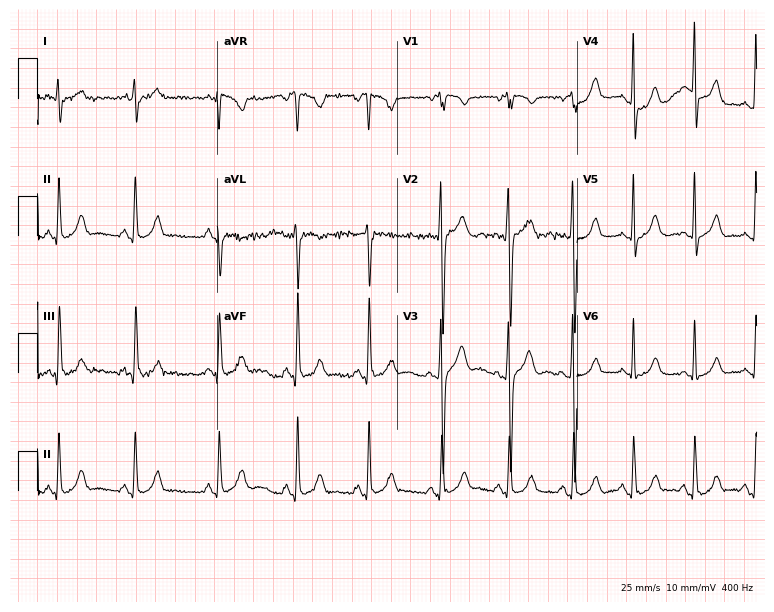
Standard 12-lead ECG recorded from a 23-year-old male patient. None of these six findings is recorded: first-degree AV block, right bundle branch block (RBBB), left bundle branch block (LBBB), sinus bradycardia, atrial fibrillation (AF), sinus tachycardia. Other findings, if any, are not listed.